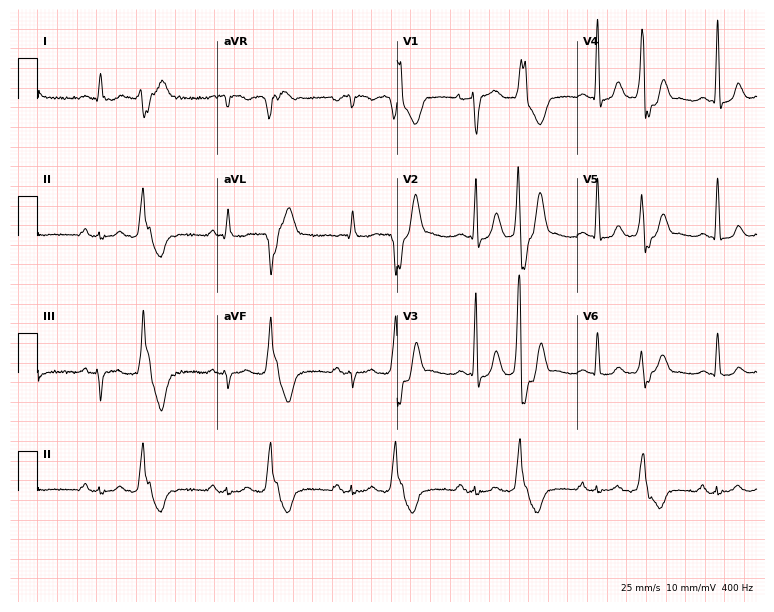
12-lead ECG from a woman, 85 years old. No first-degree AV block, right bundle branch block, left bundle branch block, sinus bradycardia, atrial fibrillation or sinus tachycardia recorded for this tracing.